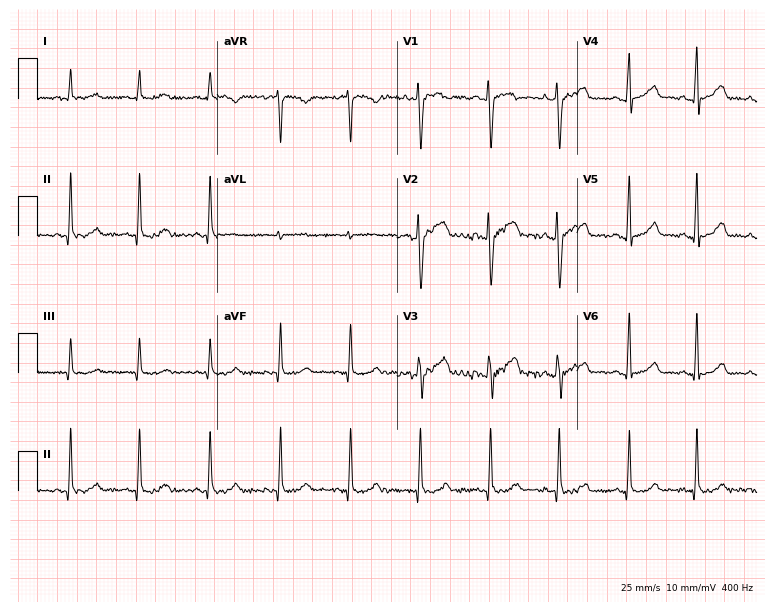
12-lead ECG from a female patient, 31 years old (7.3-second recording at 400 Hz). Recorded interpretation: within normal limits.